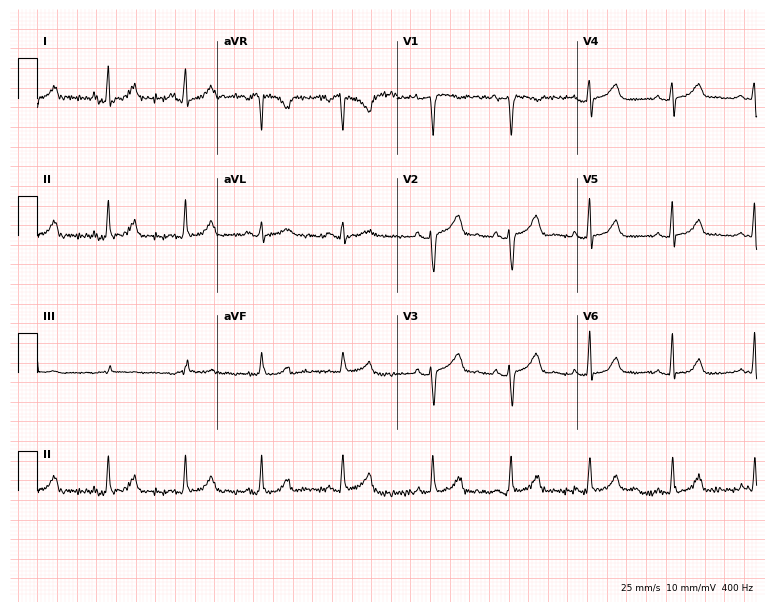
12-lead ECG (7.3-second recording at 400 Hz) from an 18-year-old female patient. Screened for six findings — first-degree AV block, right bundle branch block, left bundle branch block, sinus bradycardia, atrial fibrillation, sinus tachycardia — none is recorded. Findings outside these six are not listed.